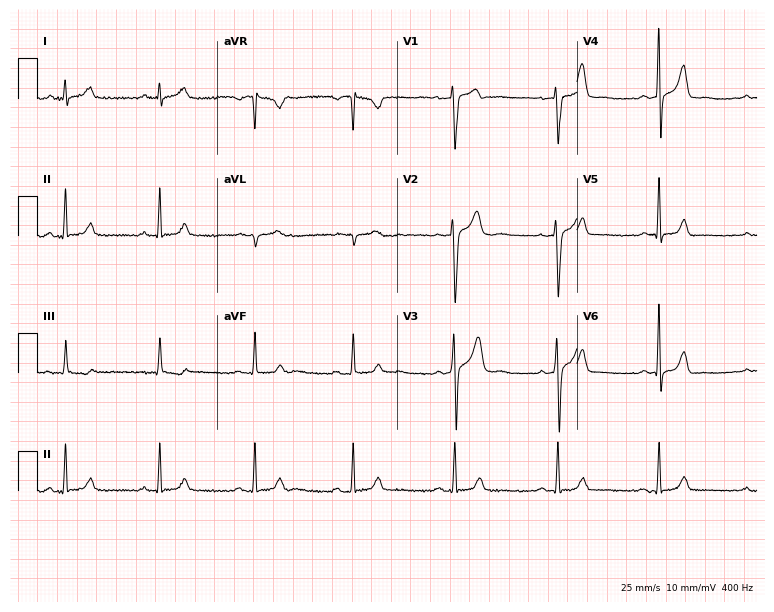
ECG — a male, 40 years old. Labelled as a normal ECG.